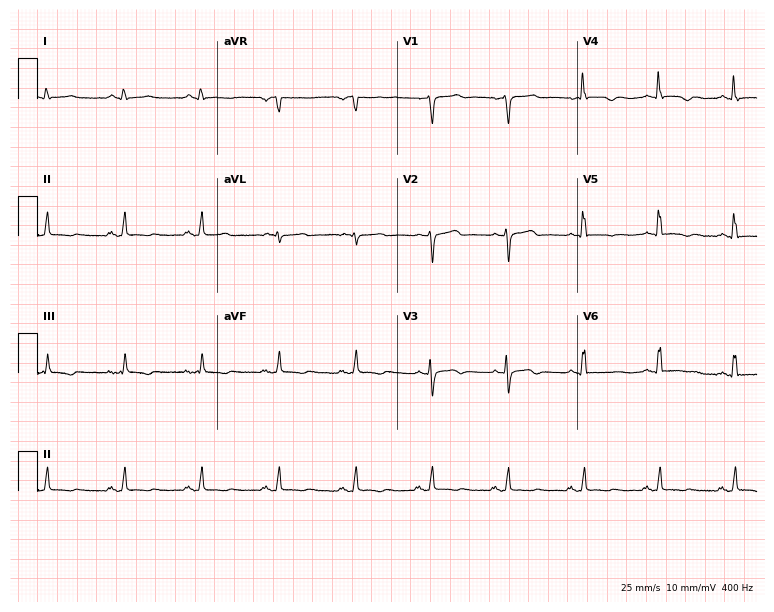
ECG — a male, 64 years old. Labelled as a normal ECG.